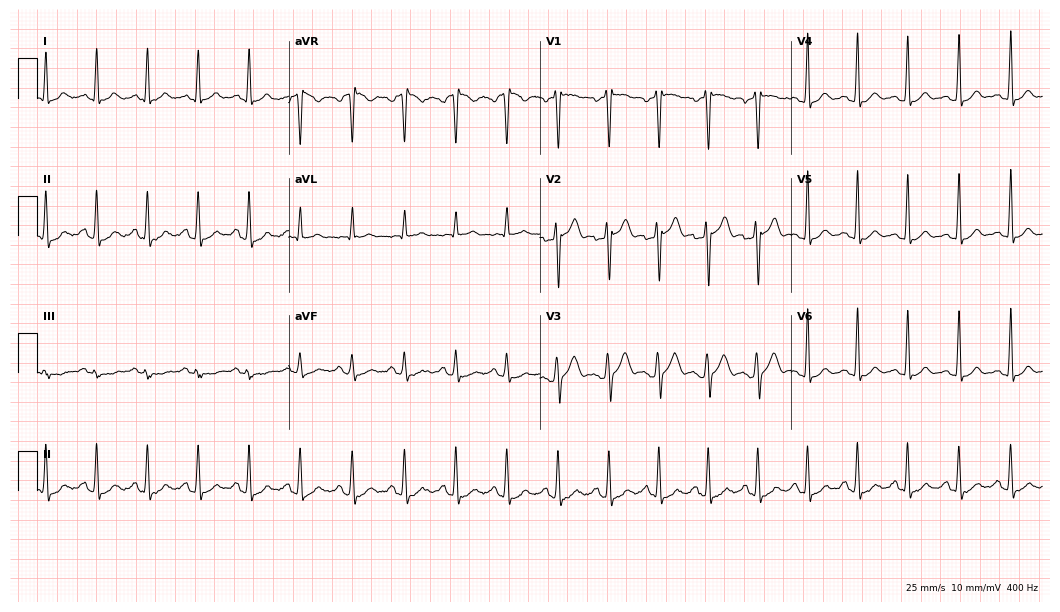
12-lead ECG from a man, 20 years old. Screened for six findings — first-degree AV block, right bundle branch block, left bundle branch block, sinus bradycardia, atrial fibrillation, sinus tachycardia — none is recorded. Findings outside these six are not listed.